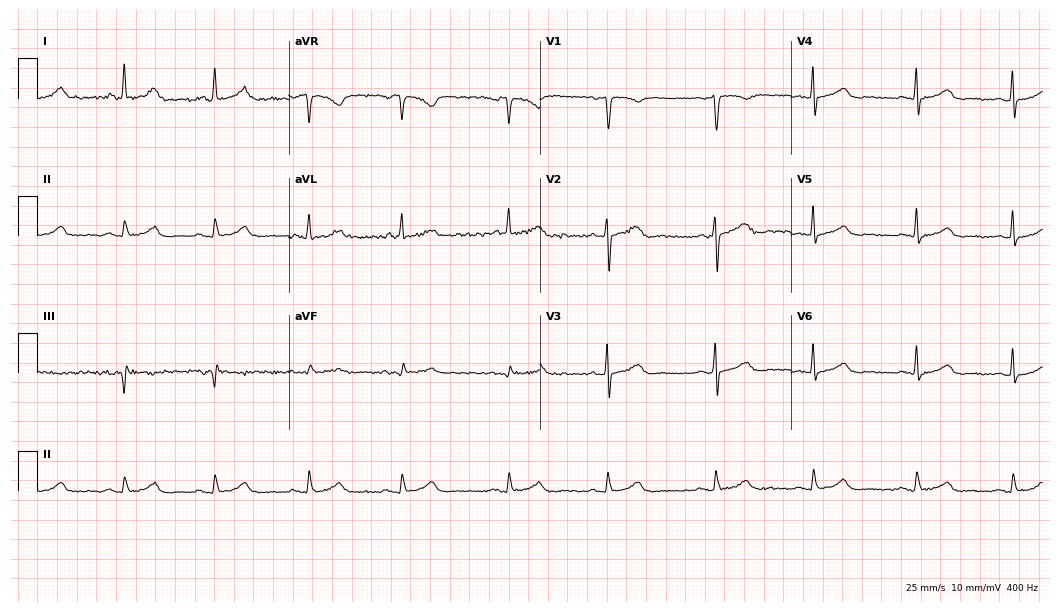
12-lead ECG from a 49-year-old female. Labelled as a normal ECG.